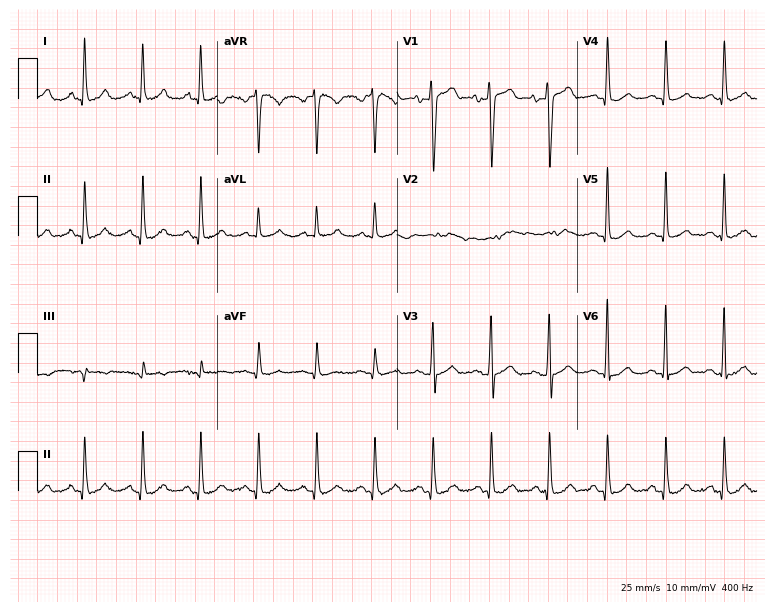
Resting 12-lead electrocardiogram. Patient: a 69-year-old man. The tracing shows sinus tachycardia (a sinus rate of 100 beats per minute or more).